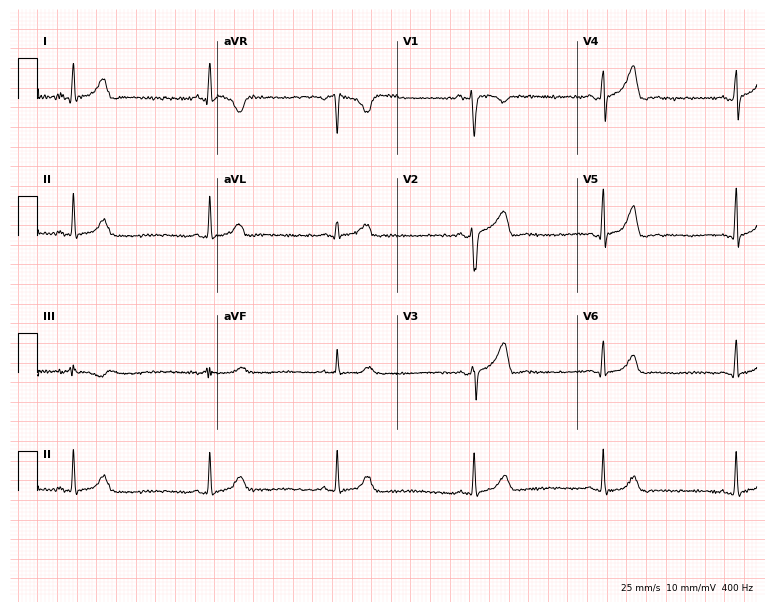
ECG (7.3-second recording at 400 Hz) — a female, 26 years old. Screened for six findings — first-degree AV block, right bundle branch block, left bundle branch block, sinus bradycardia, atrial fibrillation, sinus tachycardia — none is recorded. Findings outside these six are not listed.